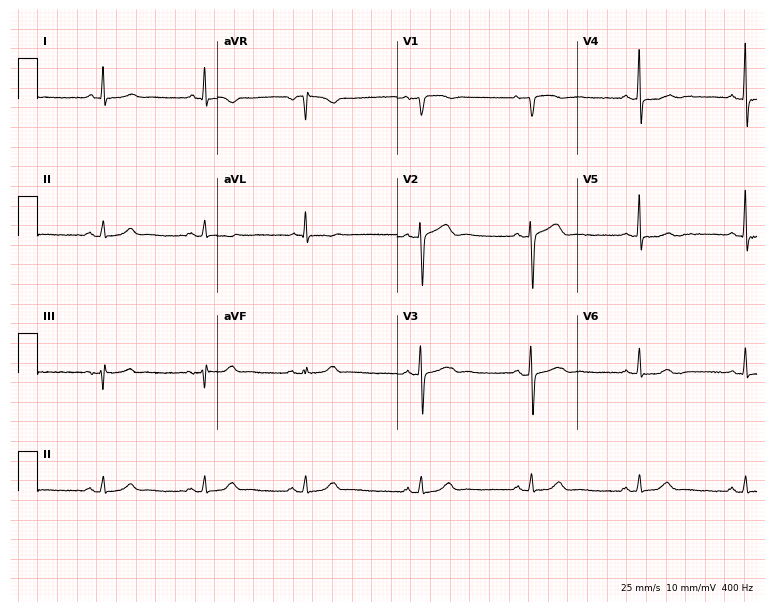
12-lead ECG from a female patient, 62 years old (7.3-second recording at 400 Hz). Recorded interpretation: within normal limits.